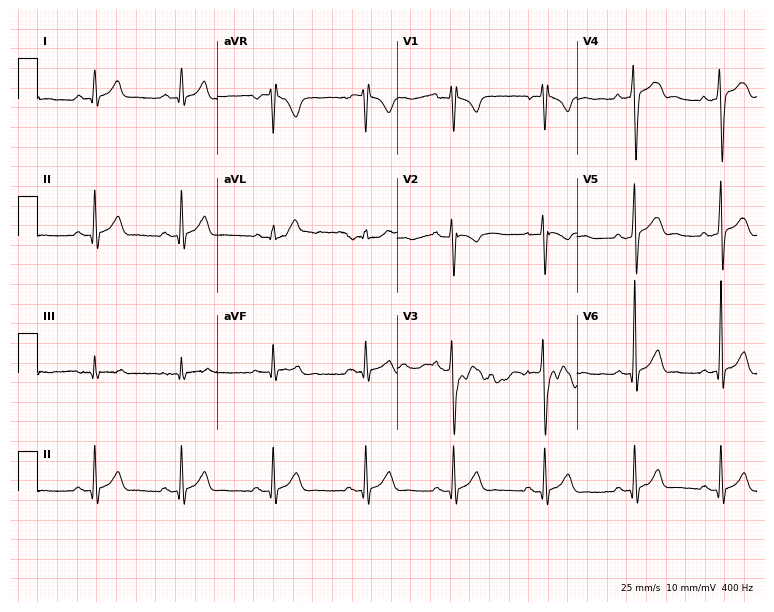
12-lead ECG from a 20-year-old male. Labelled as a normal ECG.